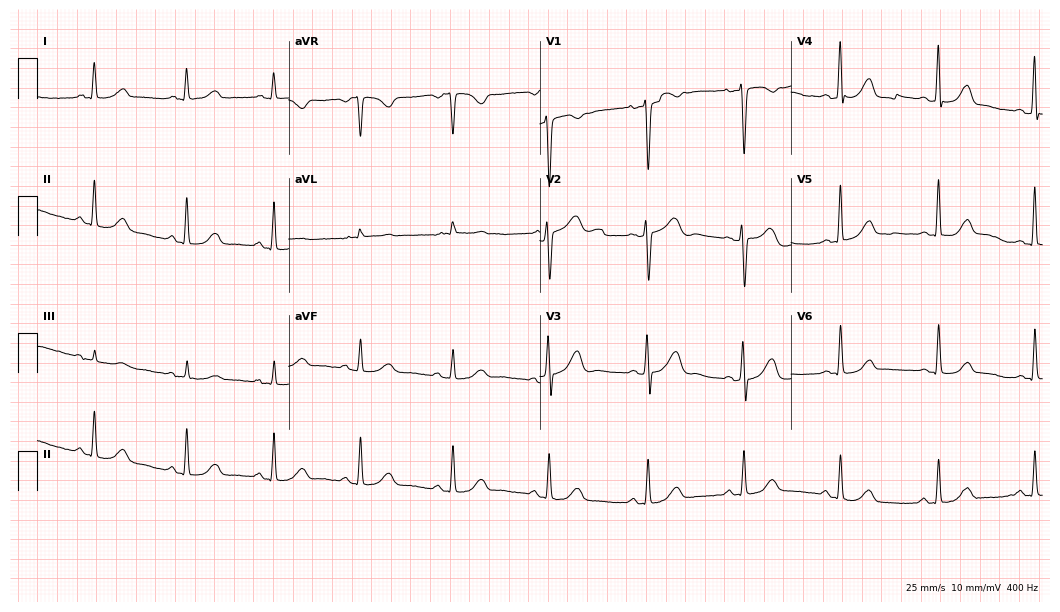
Electrocardiogram, a 44-year-old female patient. Overall reading on record: normal ECG.